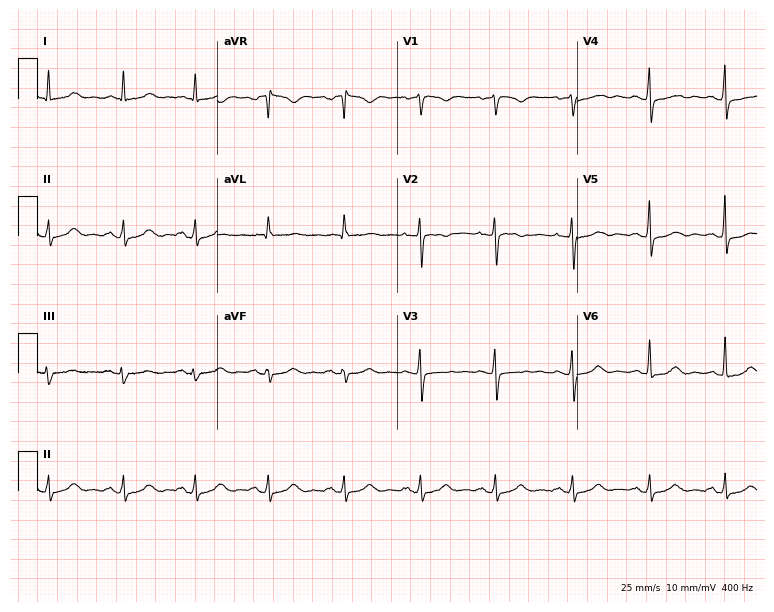
12-lead ECG (7.3-second recording at 400 Hz) from a female patient, 63 years old. Screened for six findings — first-degree AV block, right bundle branch block, left bundle branch block, sinus bradycardia, atrial fibrillation, sinus tachycardia — none is recorded.